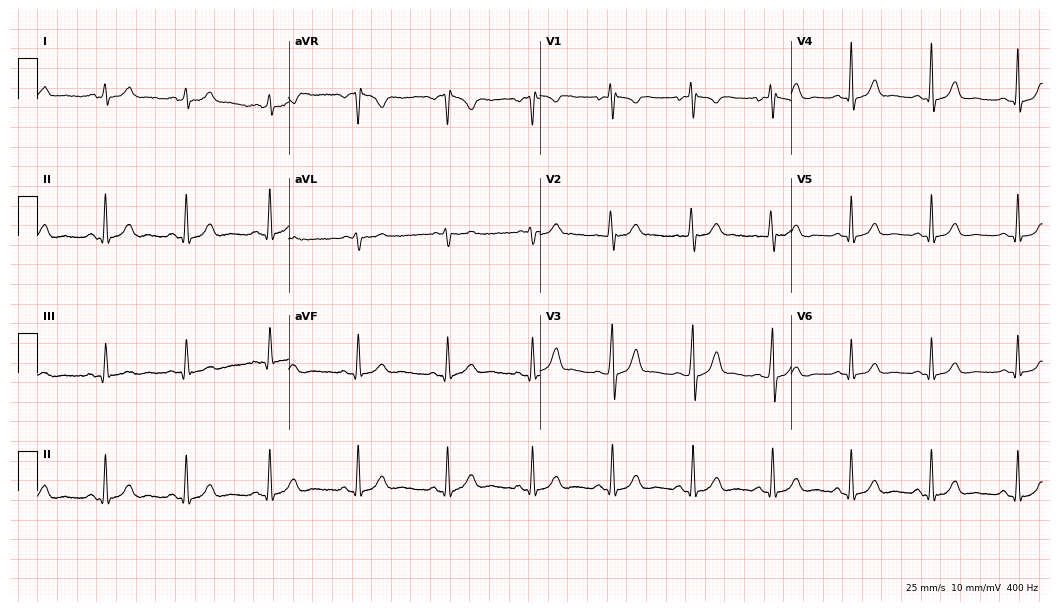
Electrocardiogram, a 27-year-old female. Of the six screened findings (first-degree AV block, right bundle branch block (RBBB), left bundle branch block (LBBB), sinus bradycardia, atrial fibrillation (AF), sinus tachycardia), none is recorded.